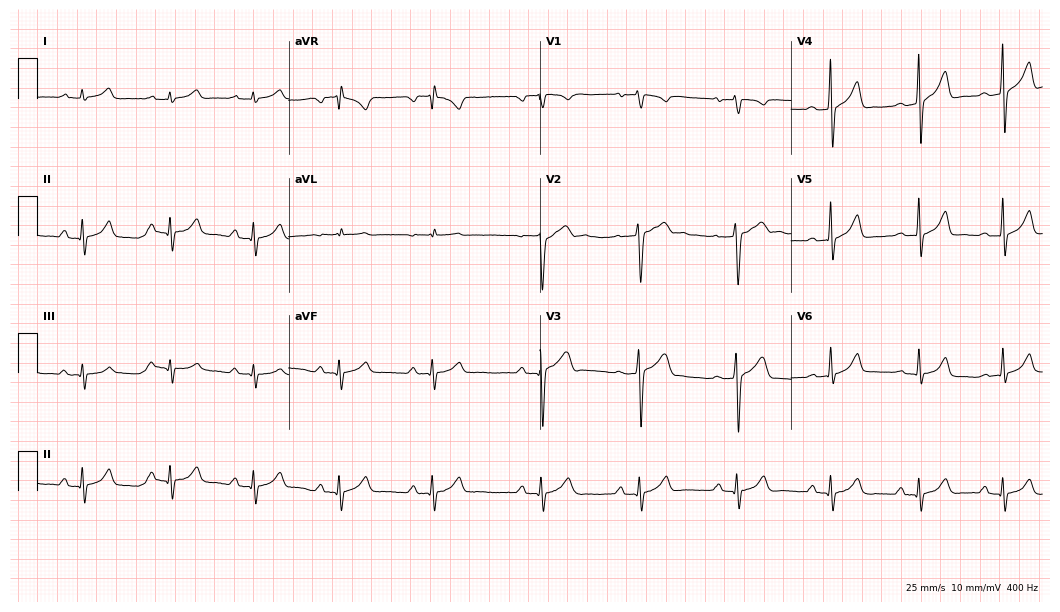
Standard 12-lead ECG recorded from a man, 20 years old (10.2-second recording at 400 Hz). The tracing shows first-degree AV block.